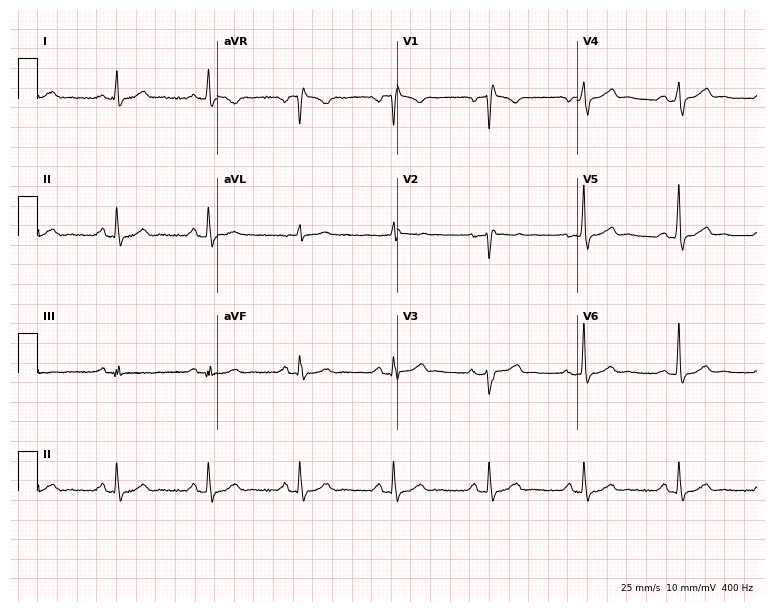
Electrocardiogram, a male, 58 years old. Of the six screened findings (first-degree AV block, right bundle branch block (RBBB), left bundle branch block (LBBB), sinus bradycardia, atrial fibrillation (AF), sinus tachycardia), none is recorded.